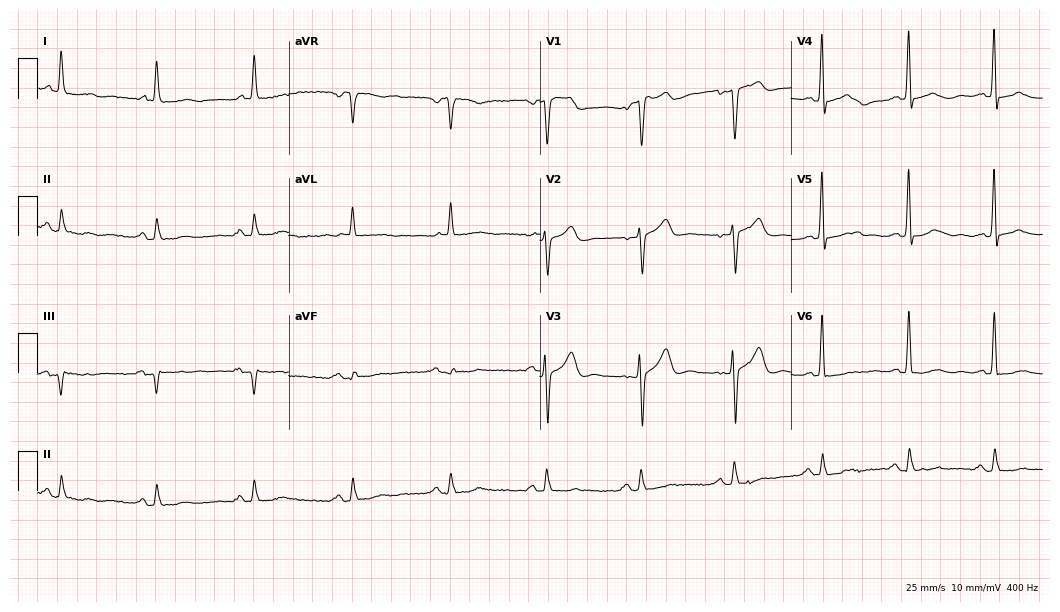
Resting 12-lead electrocardiogram (10.2-second recording at 400 Hz). Patient: a man, 68 years old. Read as a normal ECG.